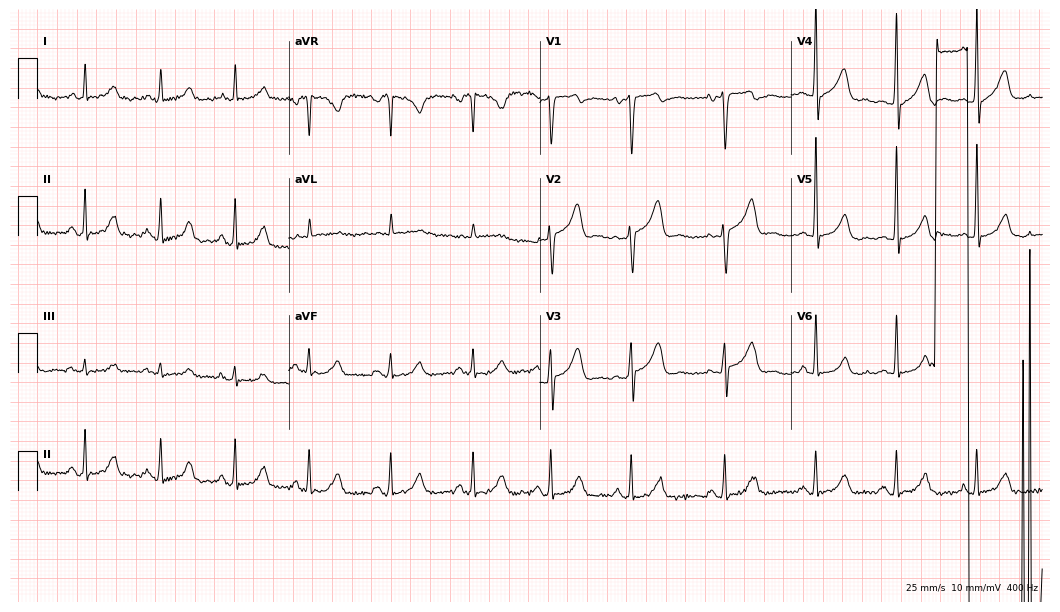
Standard 12-lead ECG recorded from a 40-year-old woman. None of these six findings is recorded: first-degree AV block, right bundle branch block, left bundle branch block, sinus bradycardia, atrial fibrillation, sinus tachycardia. Only these six findings were labelled.